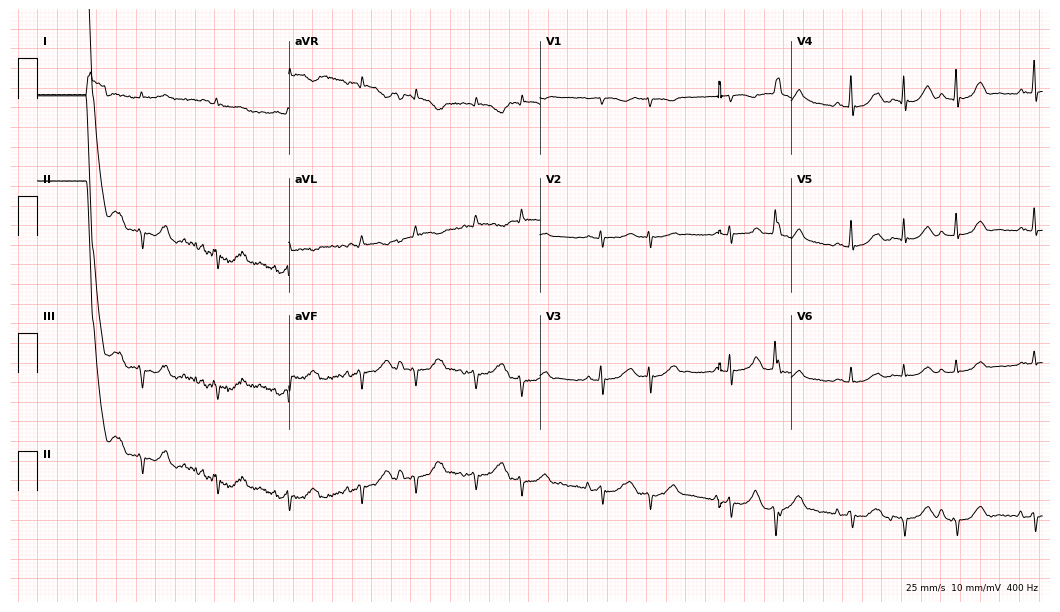
Standard 12-lead ECG recorded from a 77-year-old male. None of these six findings is recorded: first-degree AV block, right bundle branch block (RBBB), left bundle branch block (LBBB), sinus bradycardia, atrial fibrillation (AF), sinus tachycardia.